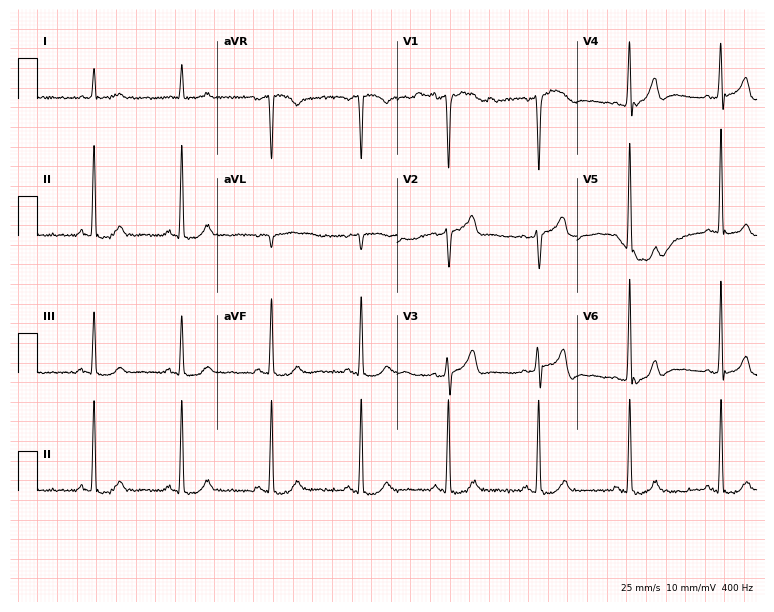
12-lead ECG (7.3-second recording at 400 Hz) from a man, 63 years old. Labelled as a normal ECG.